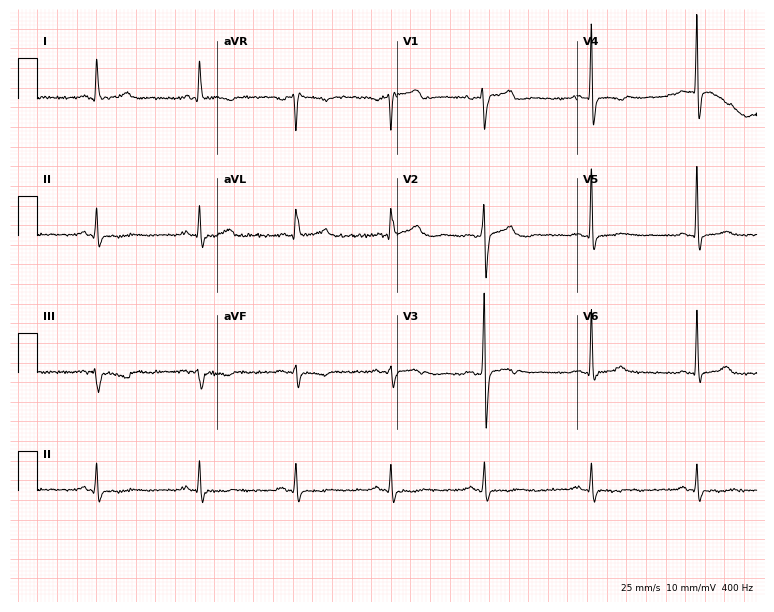
Electrocardiogram (7.3-second recording at 400 Hz), a male patient, 39 years old. Of the six screened findings (first-degree AV block, right bundle branch block (RBBB), left bundle branch block (LBBB), sinus bradycardia, atrial fibrillation (AF), sinus tachycardia), none is recorded. Only these six findings were labelled.